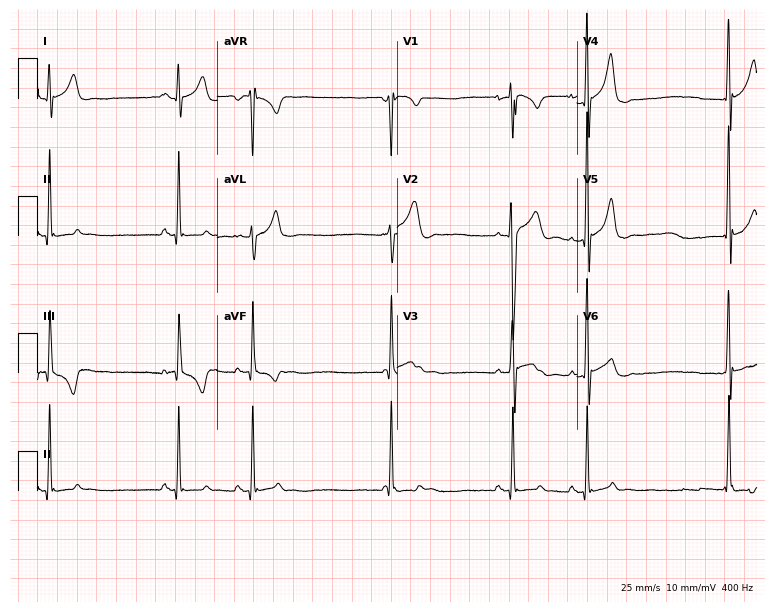
ECG (7.3-second recording at 400 Hz) — a male patient, 17 years old. Screened for six findings — first-degree AV block, right bundle branch block, left bundle branch block, sinus bradycardia, atrial fibrillation, sinus tachycardia — none is recorded. Findings outside these six are not listed.